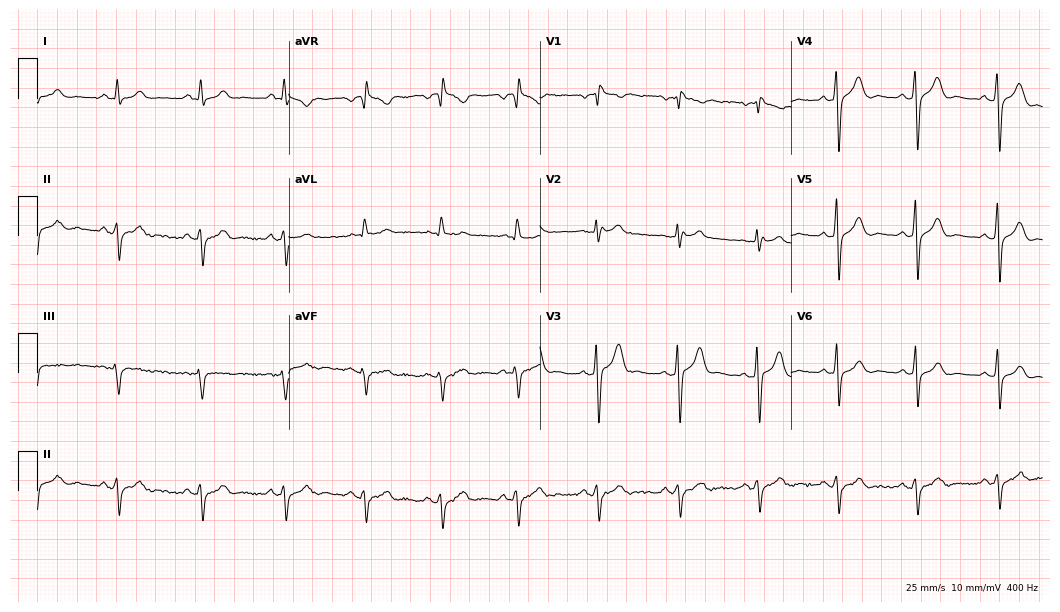
12-lead ECG from a 55-year-old male patient. No first-degree AV block, right bundle branch block, left bundle branch block, sinus bradycardia, atrial fibrillation or sinus tachycardia recorded for this tracing.